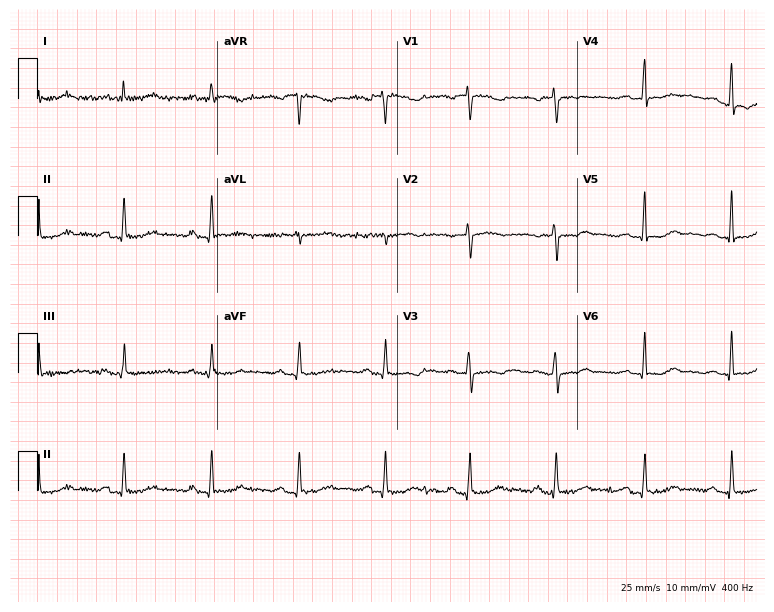
12-lead ECG (7.3-second recording at 400 Hz) from a 43-year-old woman. Findings include first-degree AV block.